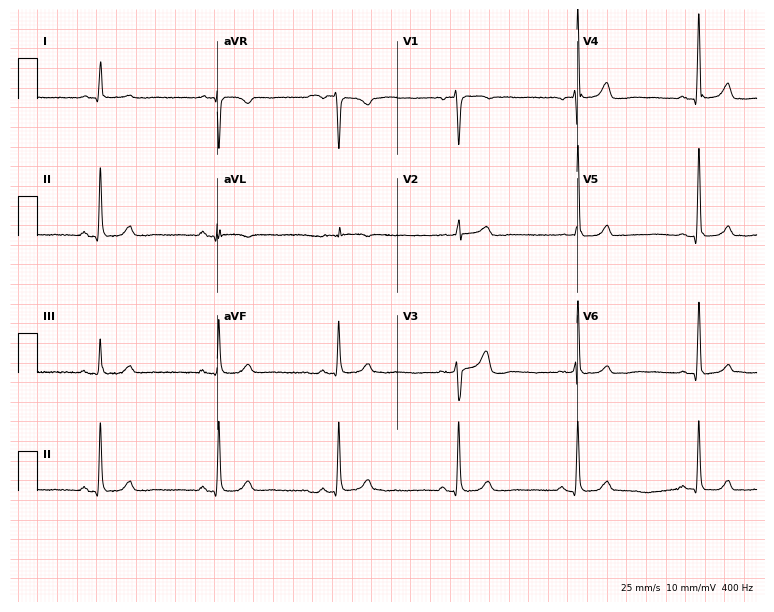
Resting 12-lead electrocardiogram. Patient: a 56-year-old female. The tracing shows sinus bradycardia (a sinus rate of 50 beats per minute or less).